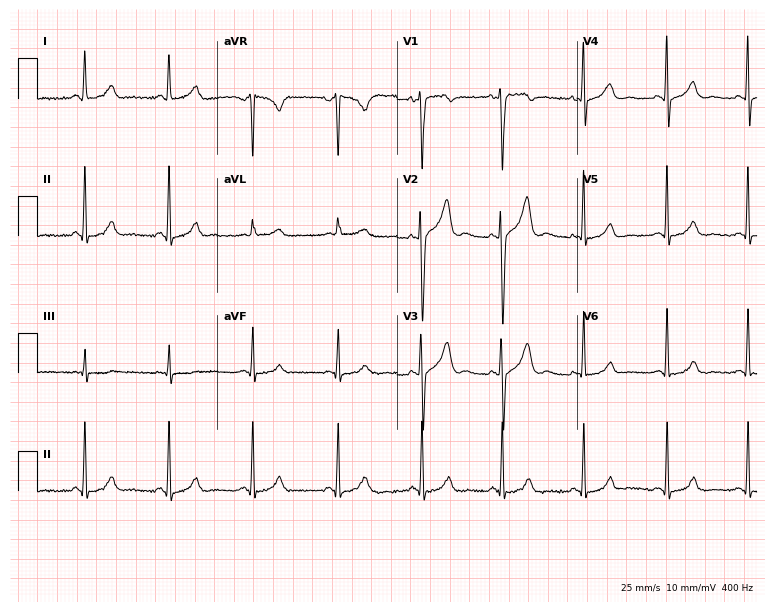
Electrocardiogram, a 45-year-old woman. Overall reading on record: normal ECG.